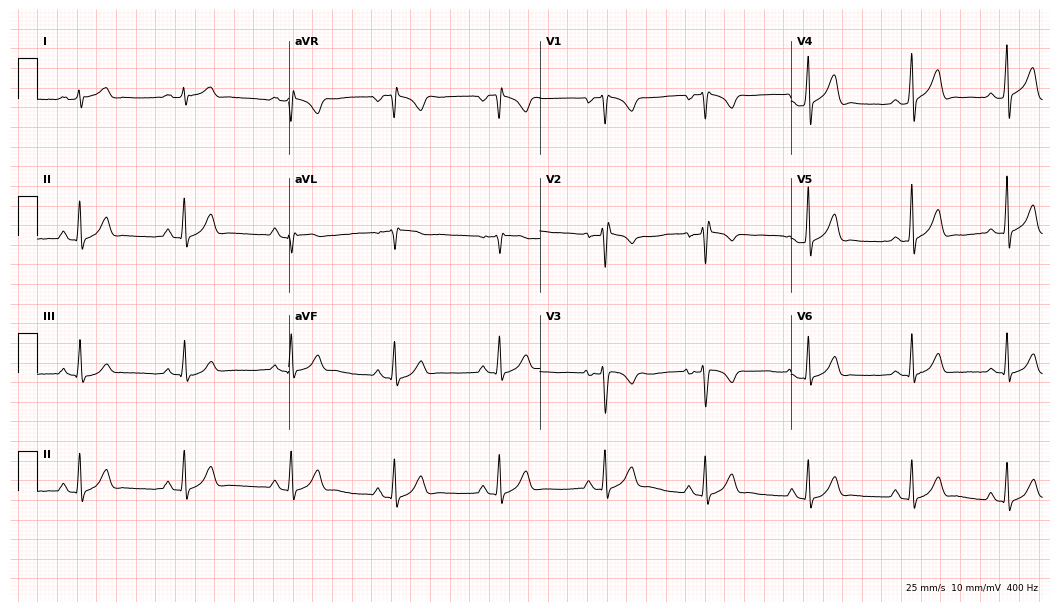
12-lead ECG from a male patient, 28 years old. Recorded interpretation: within normal limits.